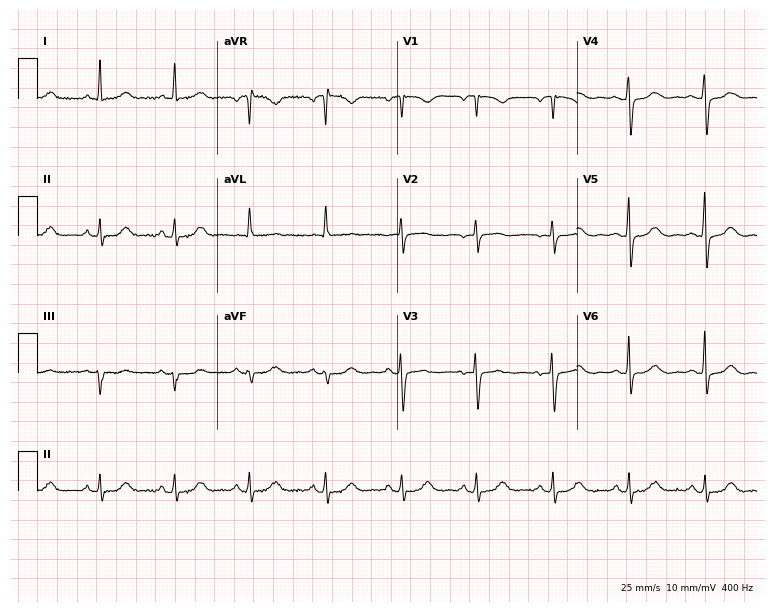
Electrocardiogram (7.3-second recording at 400 Hz), a 72-year-old female. Overall reading on record: normal ECG.